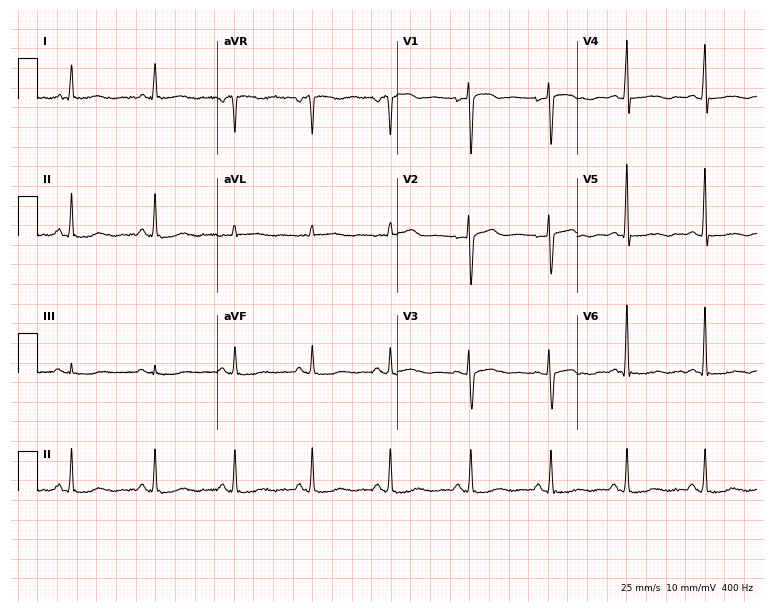
Resting 12-lead electrocardiogram (7.3-second recording at 400 Hz). Patient: a 56-year-old woman. None of these six findings is recorded: first-degree AV block, right bundle branch block, left bundle branch block, sinus bradycardia, atrial fibrillation, sinus tachycardia. Only these six findings were labelled.